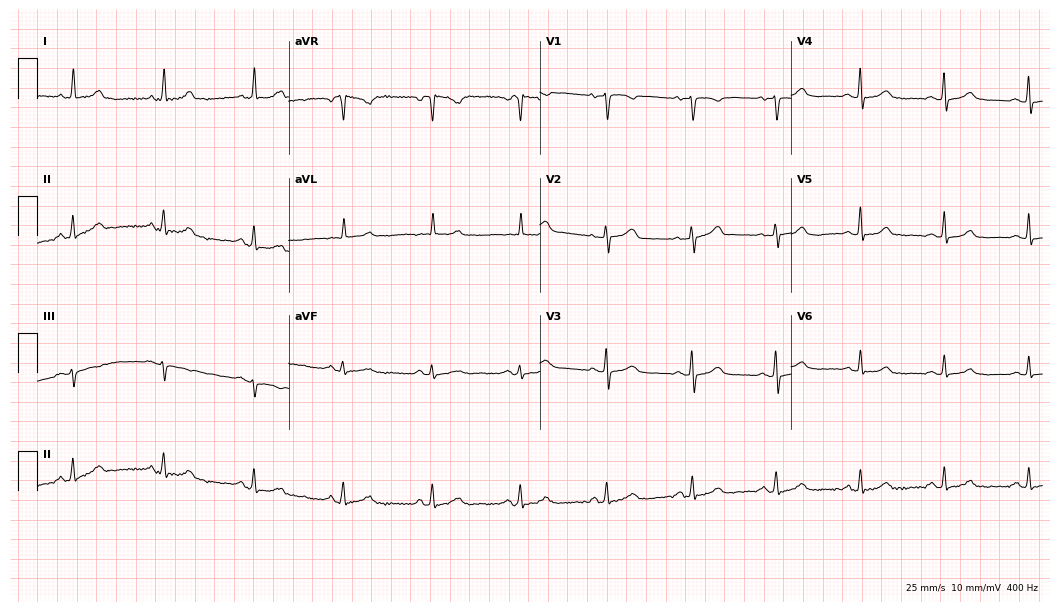
Resting 12-lead electrocardiogram (10.2-second recording at 400 Hz). Patient: a 66-year-old female. Read as a normal ECG.